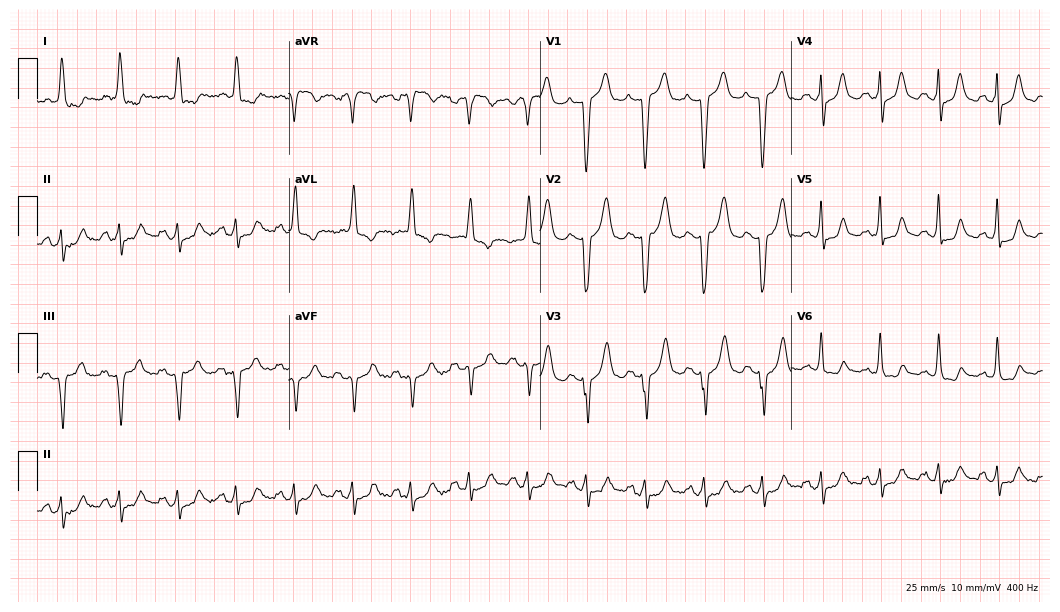
12-lead ECG from an 82-year-old female. Screened for six findings — first-degree AV block, right bundle branch block, left bundle branch block, sinus bradycardia, atrial fibrillation, sinus tachycardia — none is recorded.